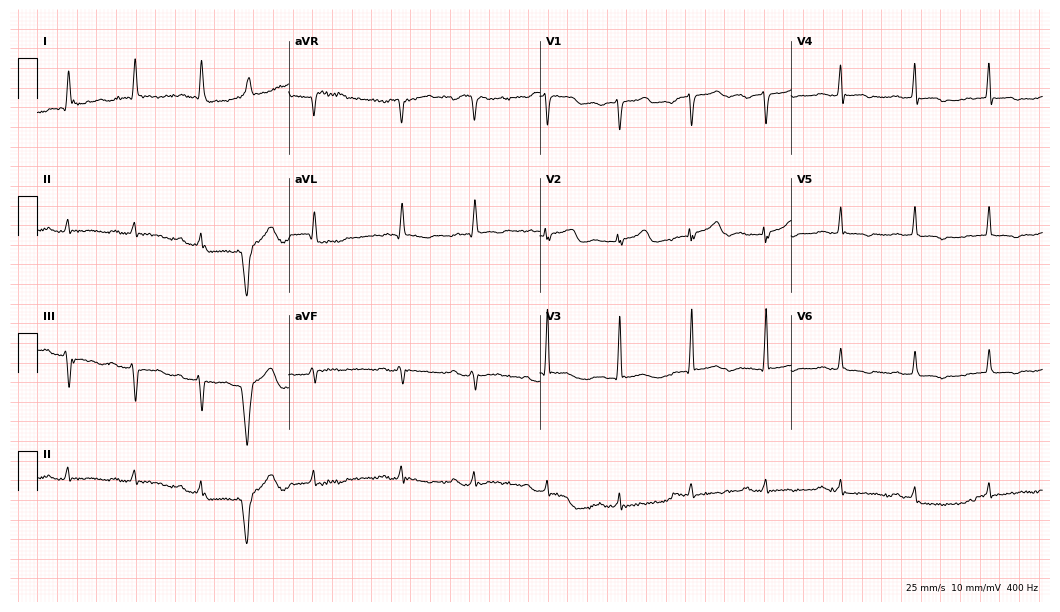
12-lead ECG from a woman, 86 years old. No first-degree AV block, right bundle branch block, left bundle branch block, sinus bradycardia, atrial fibrillation or sinus tachycardia recorded for this tracing.